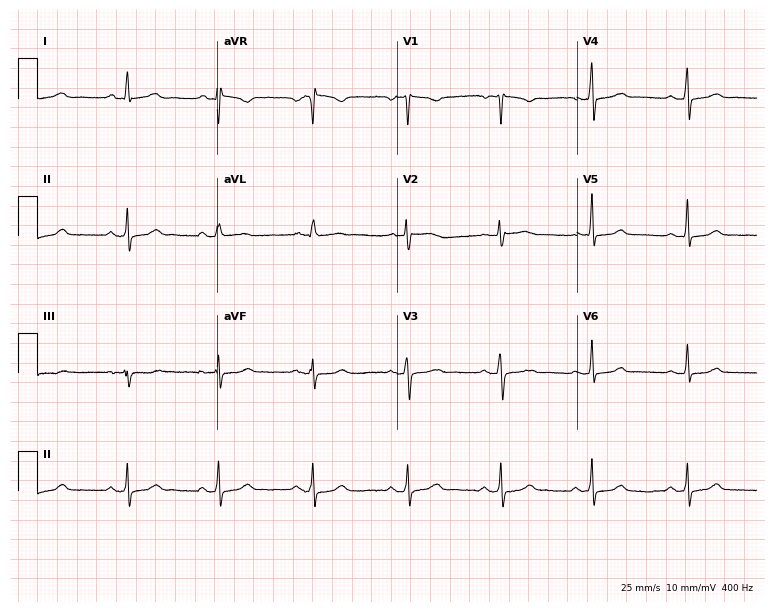
Resting 12-lead electrocardiogram. Patient: a 44-year-old female. Read as a normal ECG.